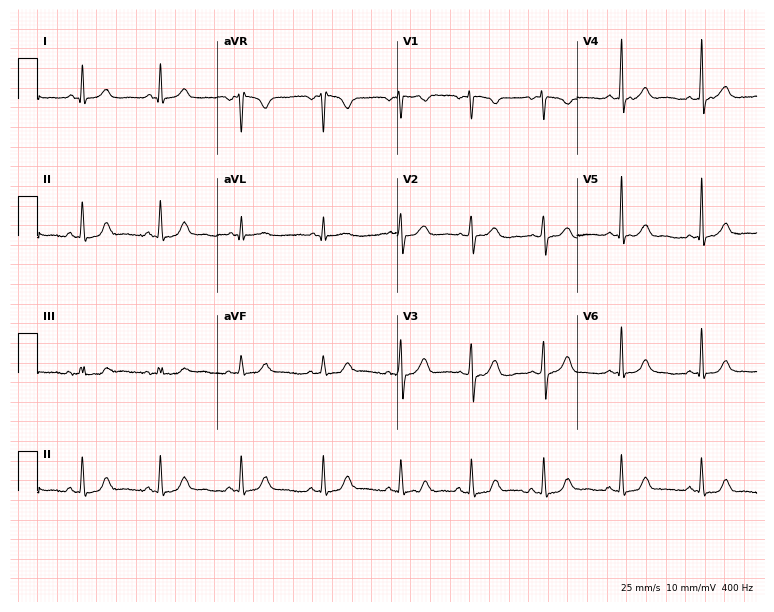
Electrocardiogram (7.3-second recording at 400 Hz), a 38-year-old female patient. Overall reading on record: normal ECG.